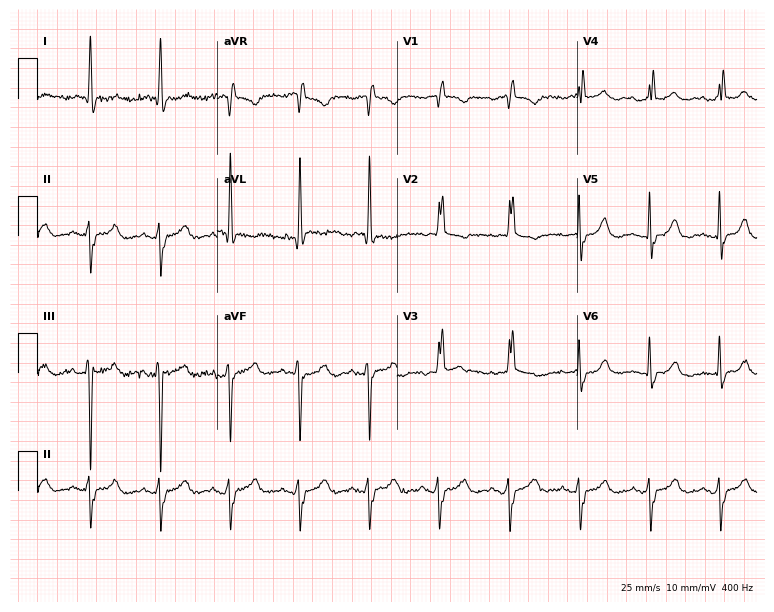
ECG (7.3-second recording at 400 Hz) — an 81-year-old woman. Findings include right bundle branch block.